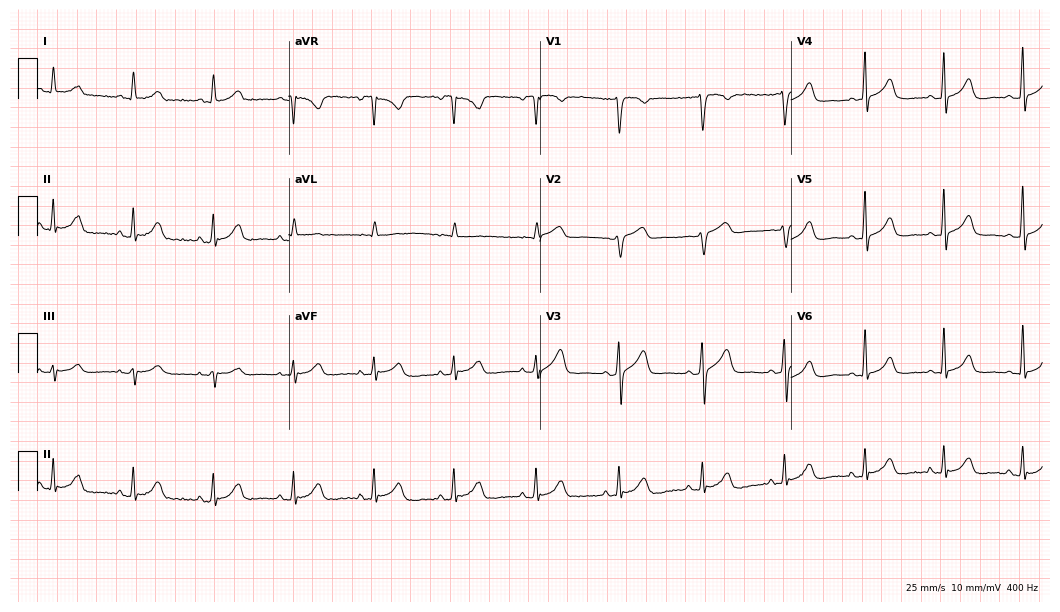
Standard 12-lead ECG recorded from a 52-year-old female (10.2-second recording at 400 Hz). Read as a normal ECG.